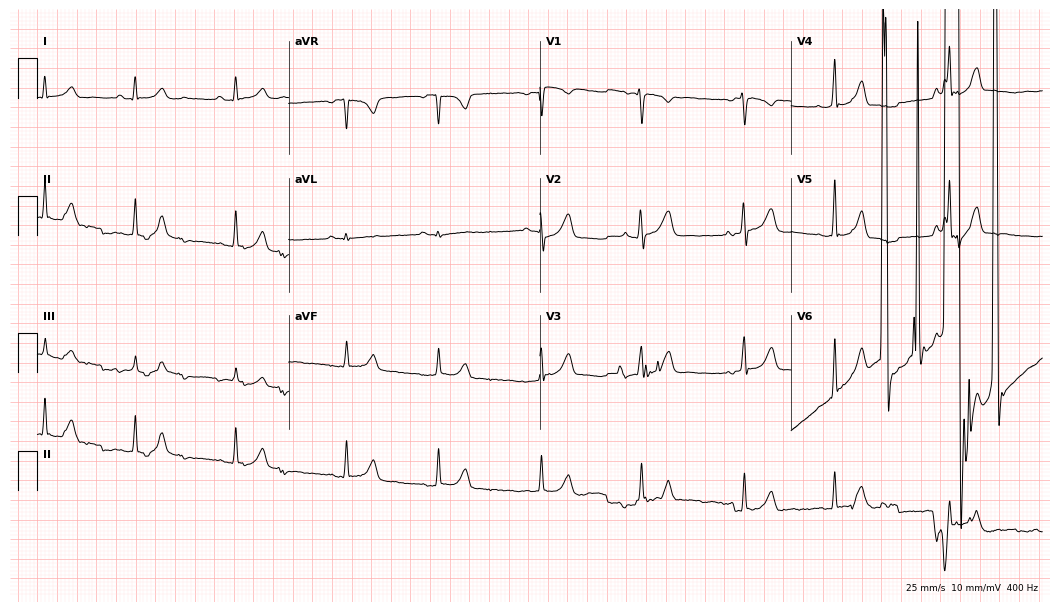
ECG (10.2-second recording at 400 Hz) — a 25-year-old woman. Screened for six findings — first-degree AV block, right bundle branch block, left bundle branch block, sinus bradycardia, atrial fibrillation, sinus tachycardia — none is recorded.